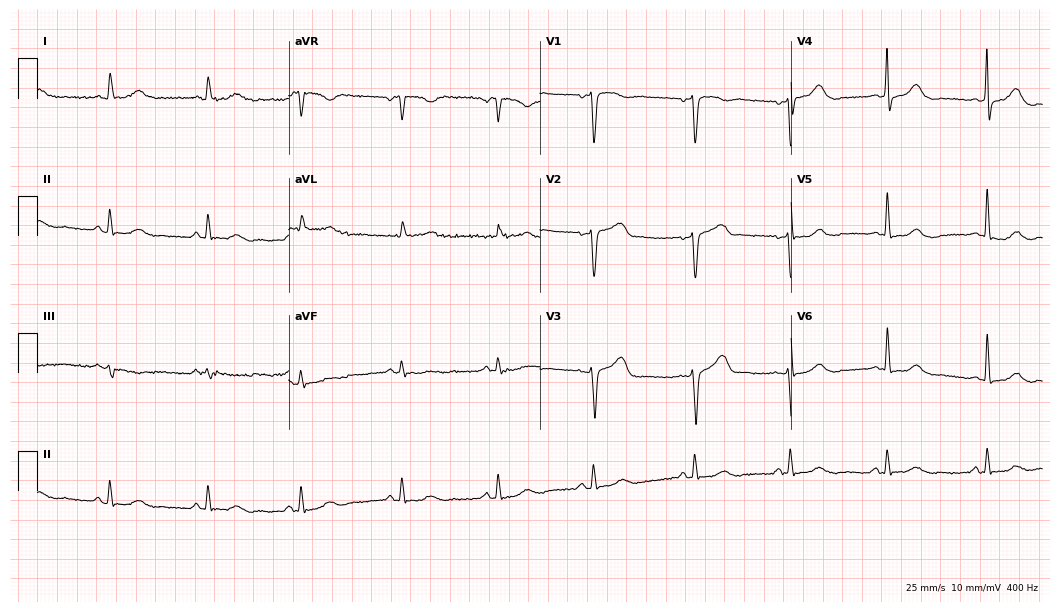
12-lead ECG from an 80-year-old woman. Labelled as a normal ECG.